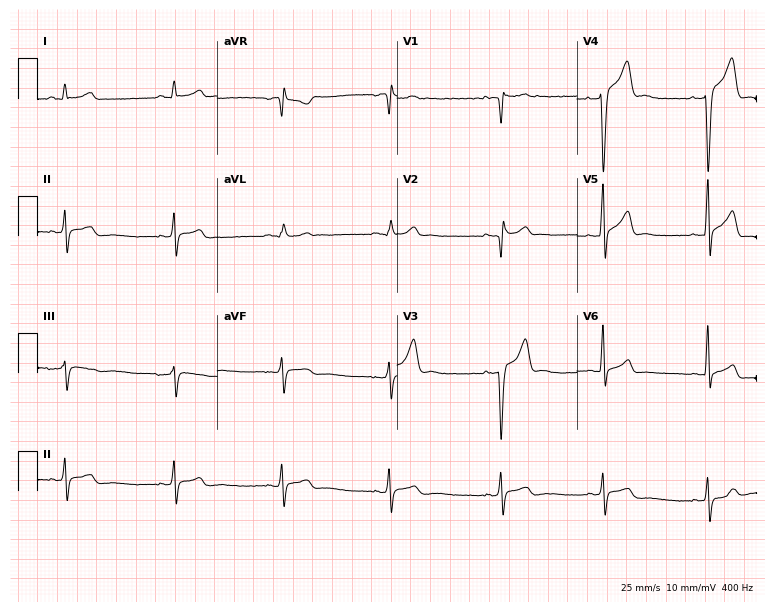
Resting 12-lead electrocardiogram (7.3-second recording at 400 Hz). Patient: a 29-year-old male. None of these six findings is recorded: first-degree AV block, right bundle branch block, left bundle branch block, sinus bradycardia, atrial fibrillation, sinus tachycardia. Only these six findings were labelled.